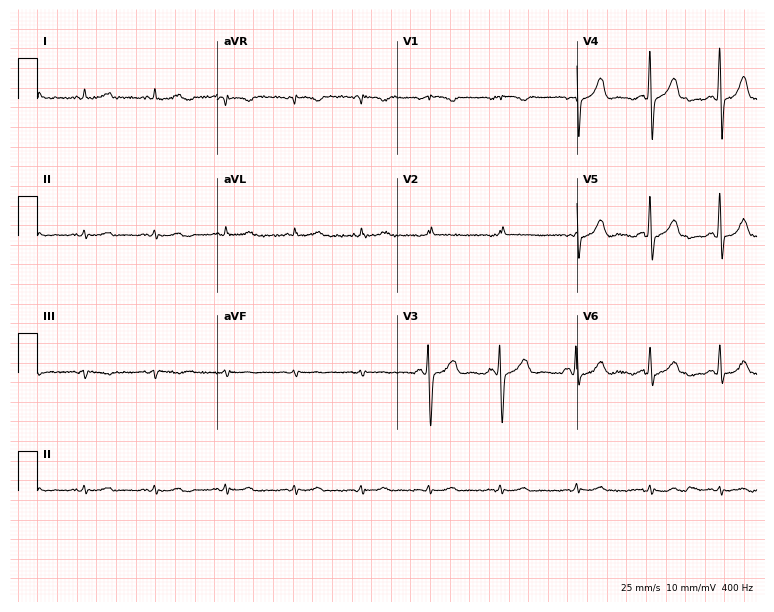
Resting 12-lead electrocardiogram. Patient: a woman, 37 years old. Read as a normal ECG.